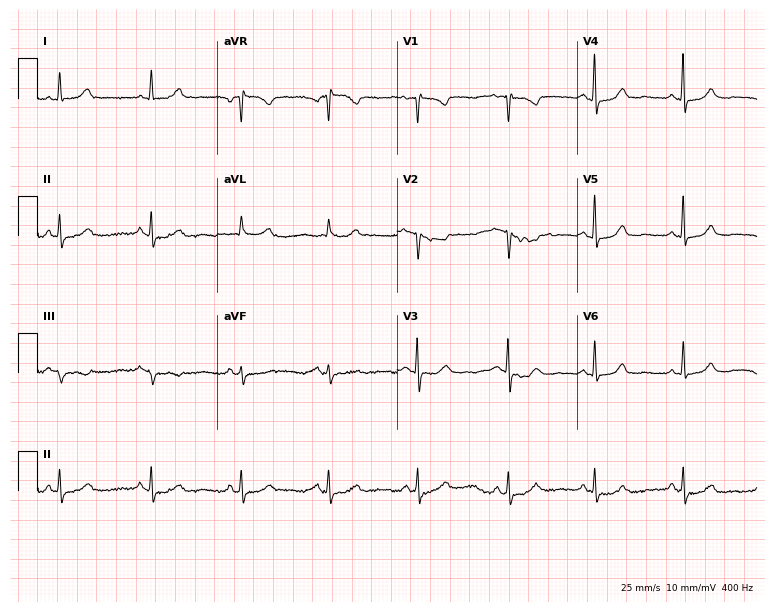
12-lead ECG from a female patient, 69 years old. No first-degree AV block, right bundle branch block, left bundle branch block, sinus bradycardia, atrial fibrillation or sinus tachycardia recorded for this tracing. Findings outside these six are not listed.